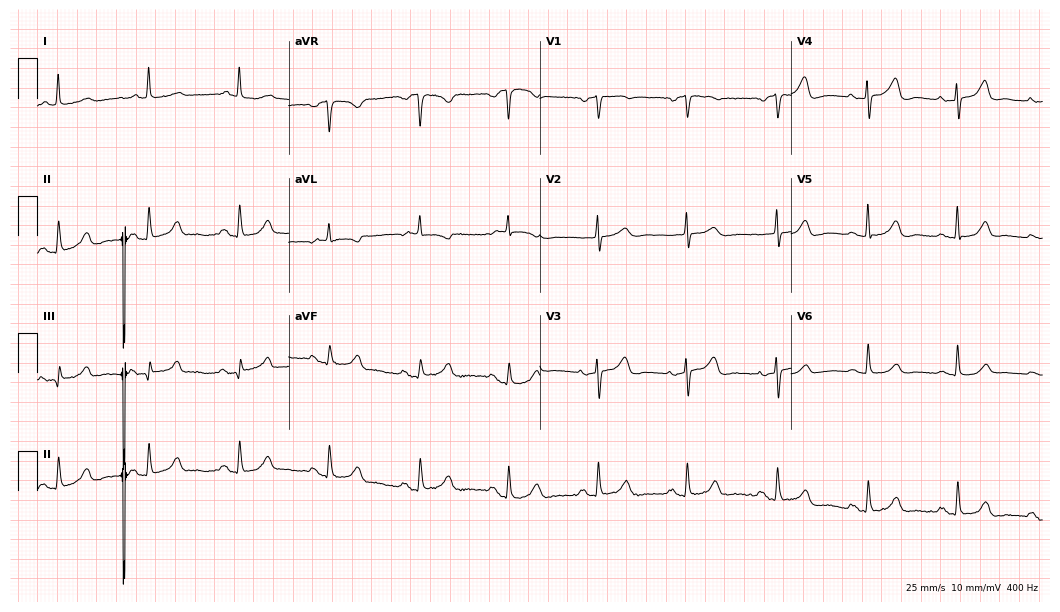
Resting 12-lead electrocardiogram (10.2-second recording at 400 Hz). Patient: an 84-year-old female. Read as a normal ECG.